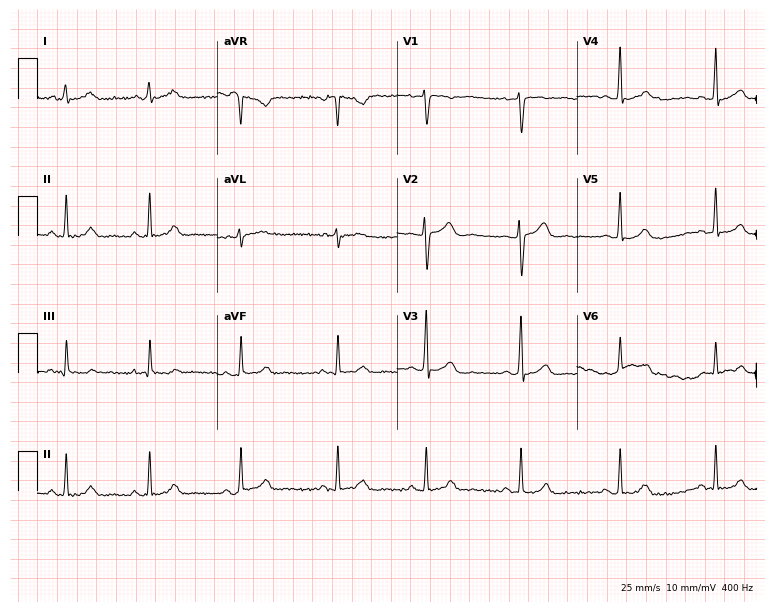
Resting 12-lead electrocardiogram (7.3-second recording at 400 Hz). Patient: a 30-year-old woman. None of these six findings is recorded: first-degree AV block, right bundle branch block, left bundle branch block, sinus bradycardia, atrial fibrillation, sinus tachycardia. Only these six findings were labelled.